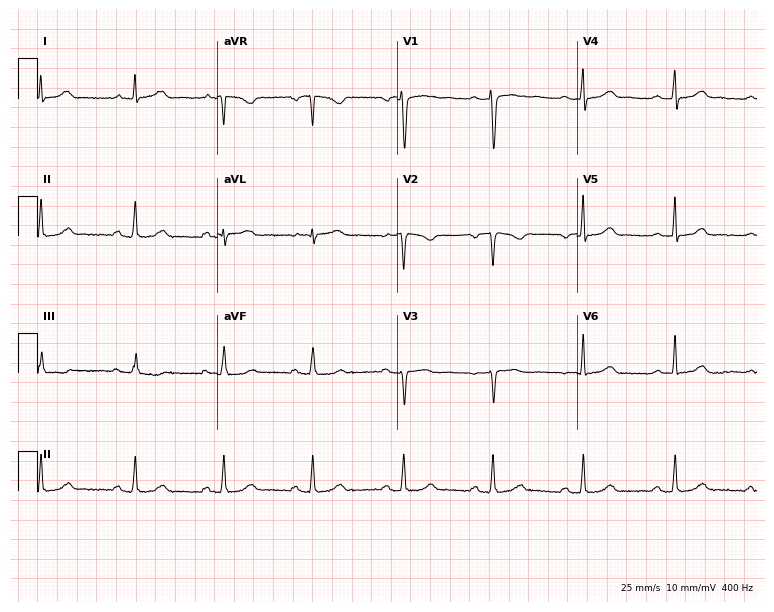
Standard 12-lead ECG recorded from a 33-year-old woman. Read as a normal ECG.